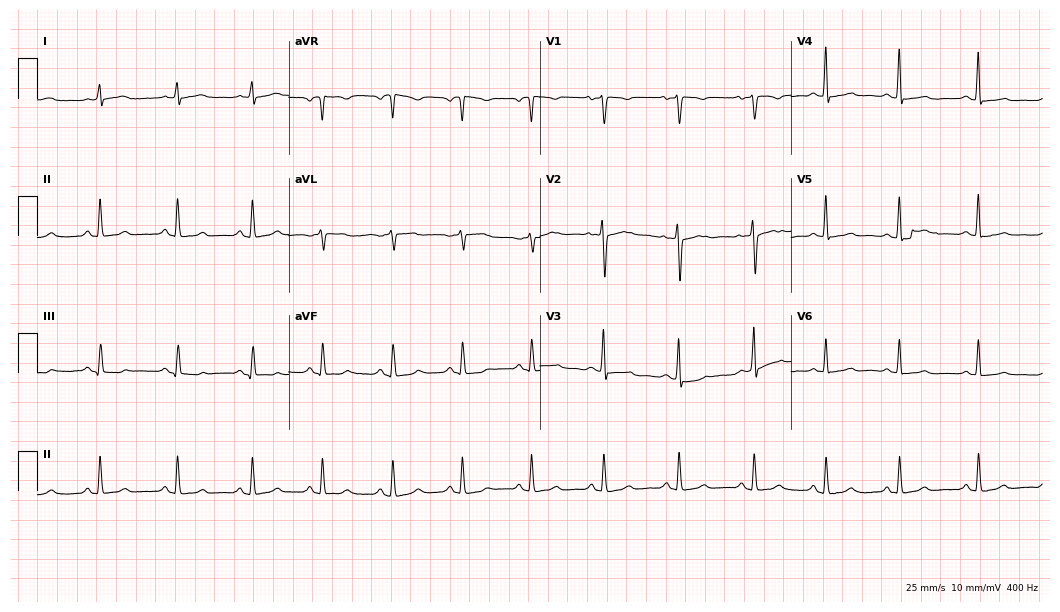
12-lead ECG (10.2-second recording at 400 Hz) from a 39-year-old female patient. Screened for six findings — first-degree AV block, right bundle branch block (RBBB), left bundle branch block (LBBB), sinus bradycardia, atrial fibrillation (AF), sinus tachycardia — none is recorded.